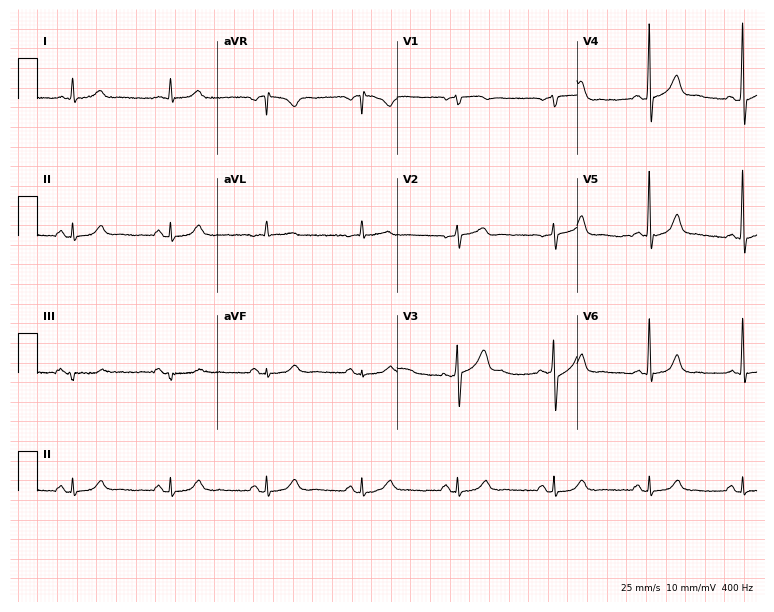
ECG (7.3-second recording at 400 Hz) — a male patient, 74 years old. Labelled as a normal ECG.